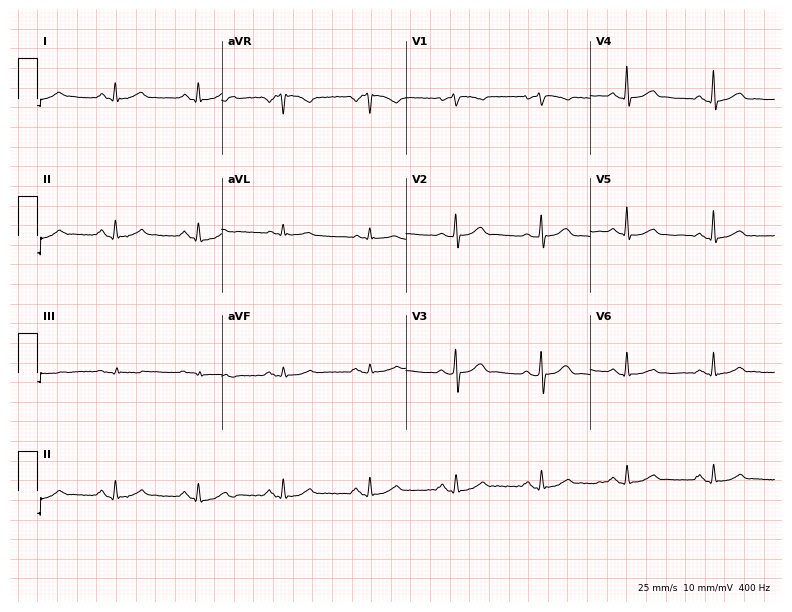
Standard 12-lead ECG recorded from a male, 68 years old. None of these six findings is recorded: first-degree AV block, right bundle branch block (RBBB), left bundle branch block (LBBB), sinus bradycardia, atrial fibrillation (AF), sinus tachycardia. Only these six findings were labelled.